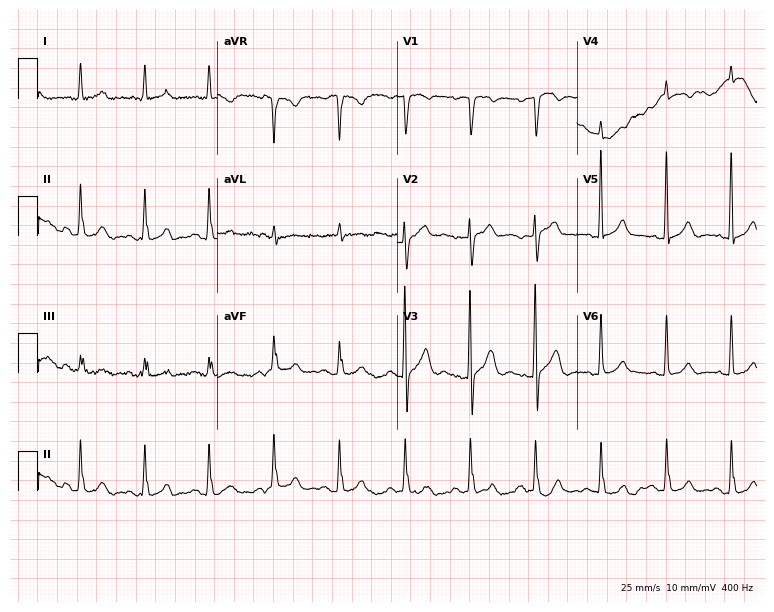
12-lead ECG from a 70-year-old male (7.3-second recording at 400 Hz). No first-degree AV block, right bundle branch block (RBBB), left bundle branch block (LBBB), sinus bradycardia, atrial fibrillation (AF) or sinus tachycardia recorded for this tracing.